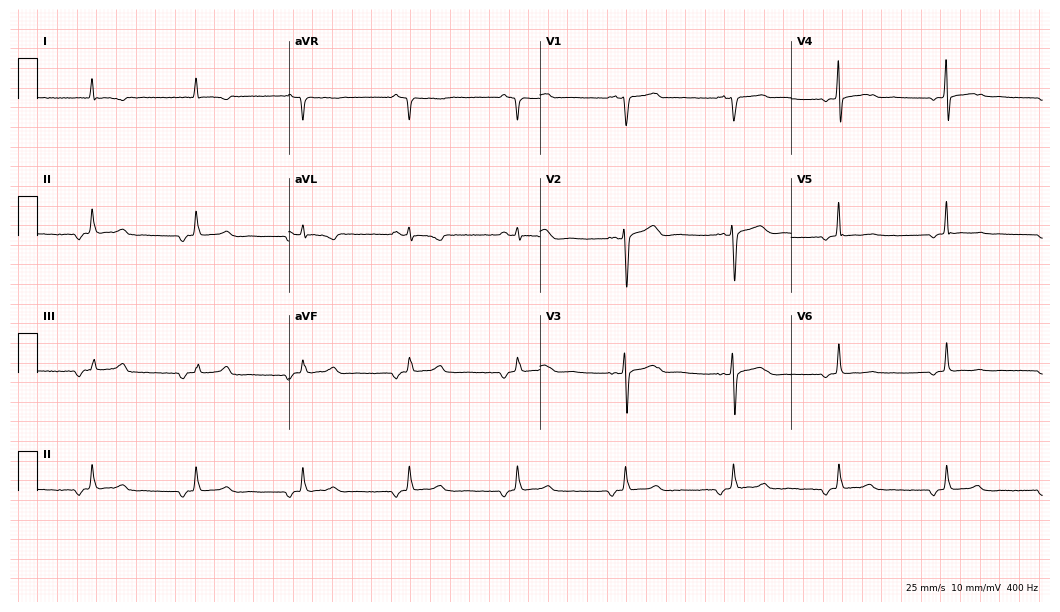
12-lead ECG from a female patient, 51 years old. No first-degree AV block, right bundle branch block, left bundle branch block, sinus bradycardia, atrial fibrillation or sinus tachycardia recorded for this tracing.